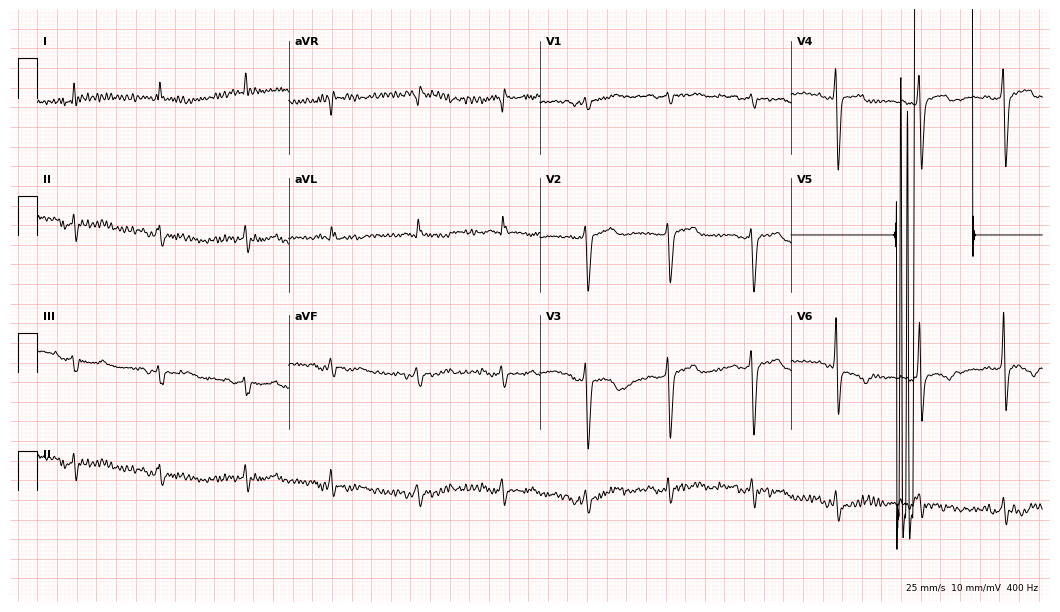
Standard 12-lead ECG recorded from a 67-year-old female patient. None of these six findings is recorded: first-degree AV block, right bundle branch block, left bundle branch block, sinus bradycardia, atrial fibrillation, sinus tachycardia. Only these six findings were labelled.